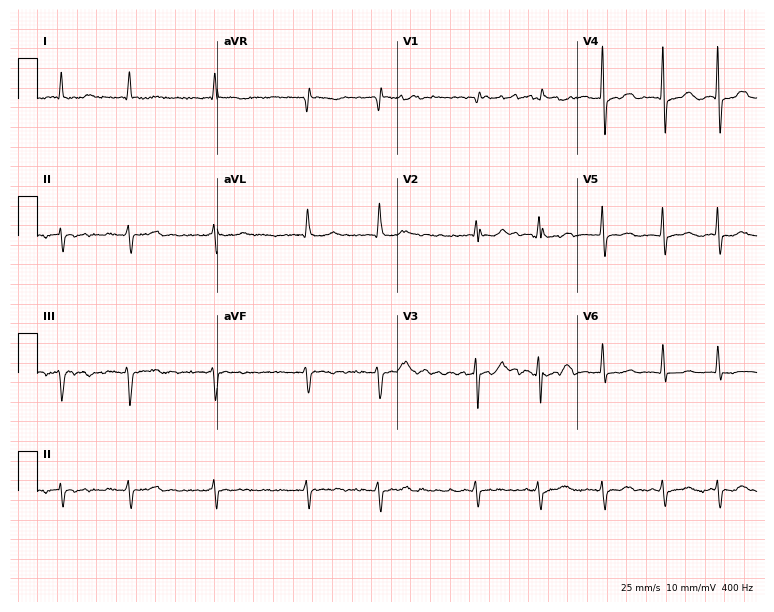
Electrocardiogram, a female, 85 years old. Interpretation includes atrial fibrillation.